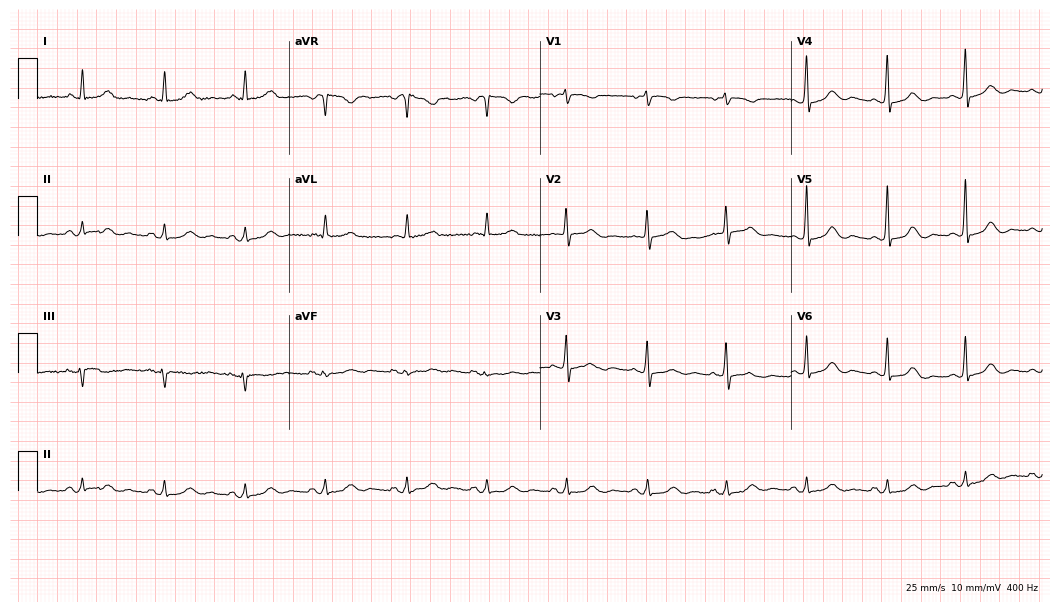
12-lead ECG from a 61-year-old woman. Recorded interpretation: within normal limits.